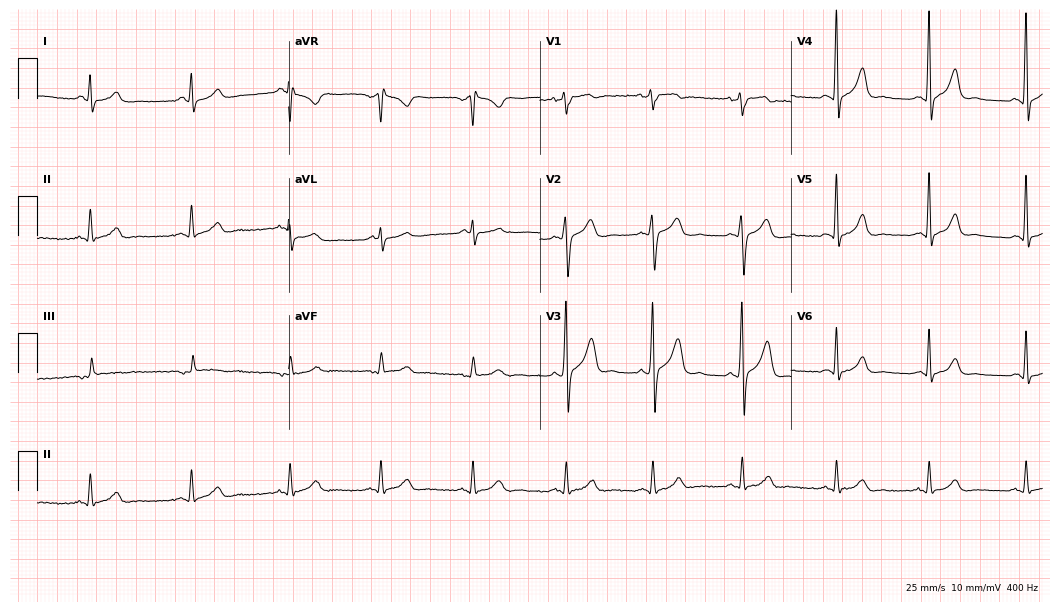
12-lead ECG from a male patient, 39 years old. Labelled as a normal ECG.